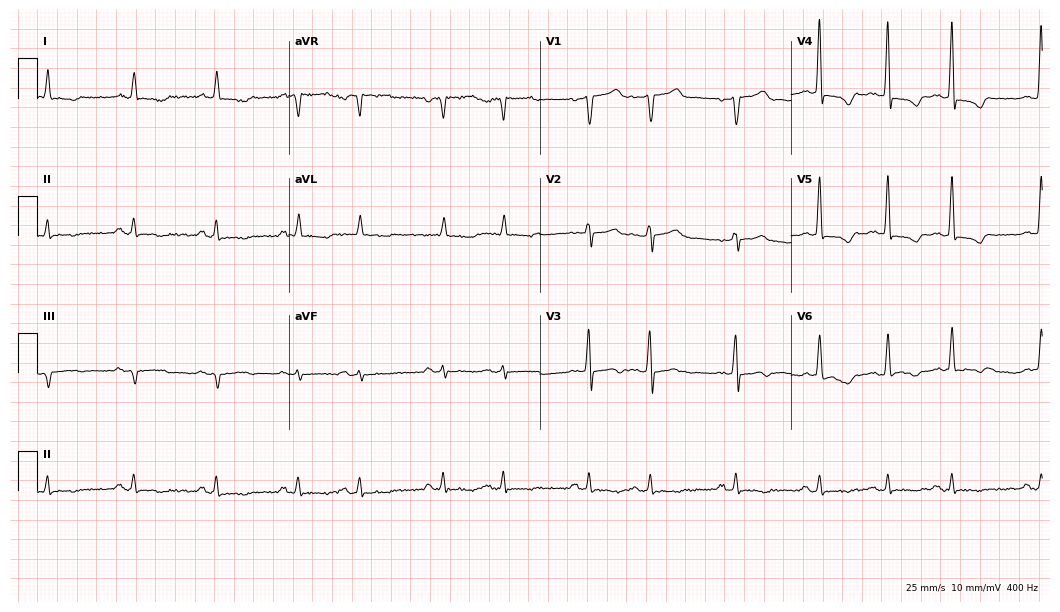
Electrocardiogram, a 64-year-old male. Of the six screened findings (first-degree AV block, right bundle branch block, left bundle branch block, sinus bradycardia, atrial fibrillation, sinus tachycardia), none is recorded. Findings outside these six are not listed.